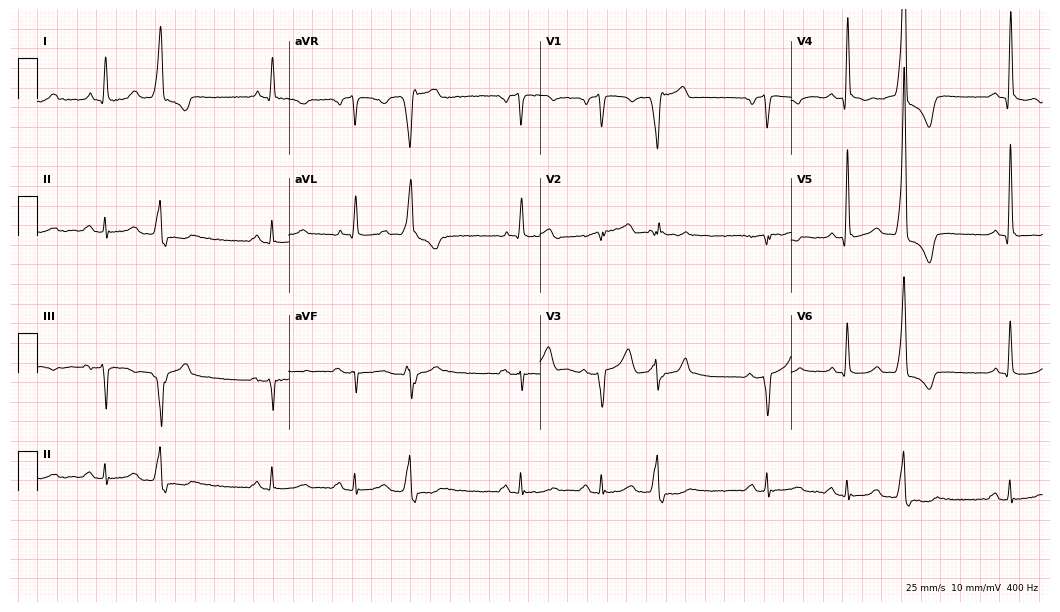
12-lead ECG from a male patient, 71 years old. No first-degree AV block, right bundle branch block (RBBB), left bundle branch block (LBBB), sinus bradycardia, atrial fibrillation (AF) or sinus tachycardia recorded for this tracing. Other findings, if any, are not listed.